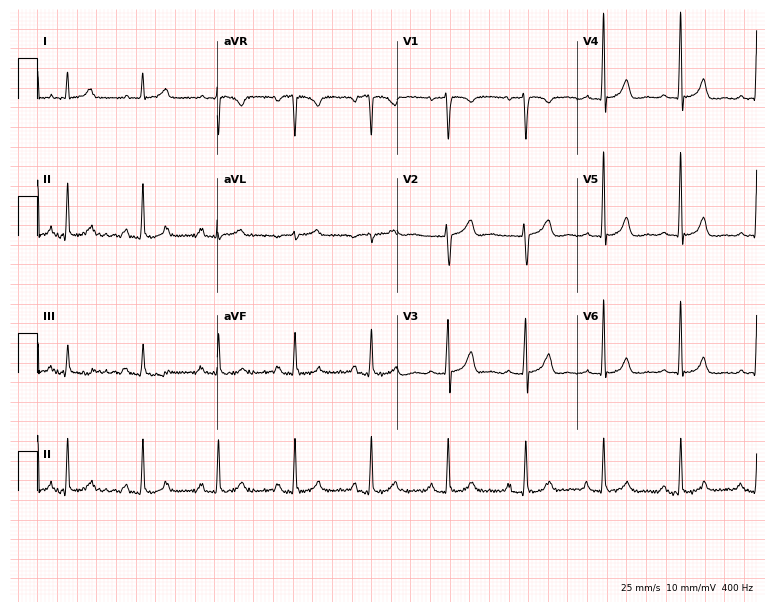
12-lead ECG (7.3-second recording at 400 Hz) from a 52-year-old female patient. Labelled as a normal ECG.